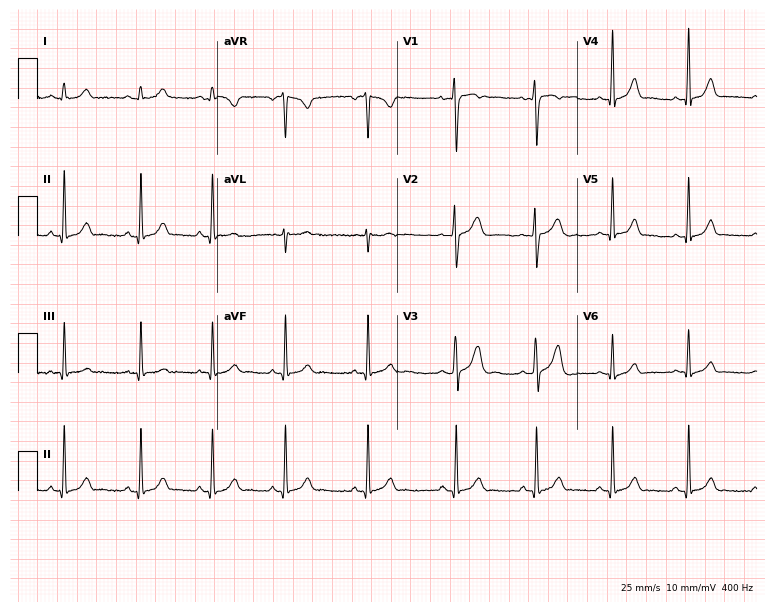
ECG — a 28-year-old female patient. Labelled as a normal ECG.